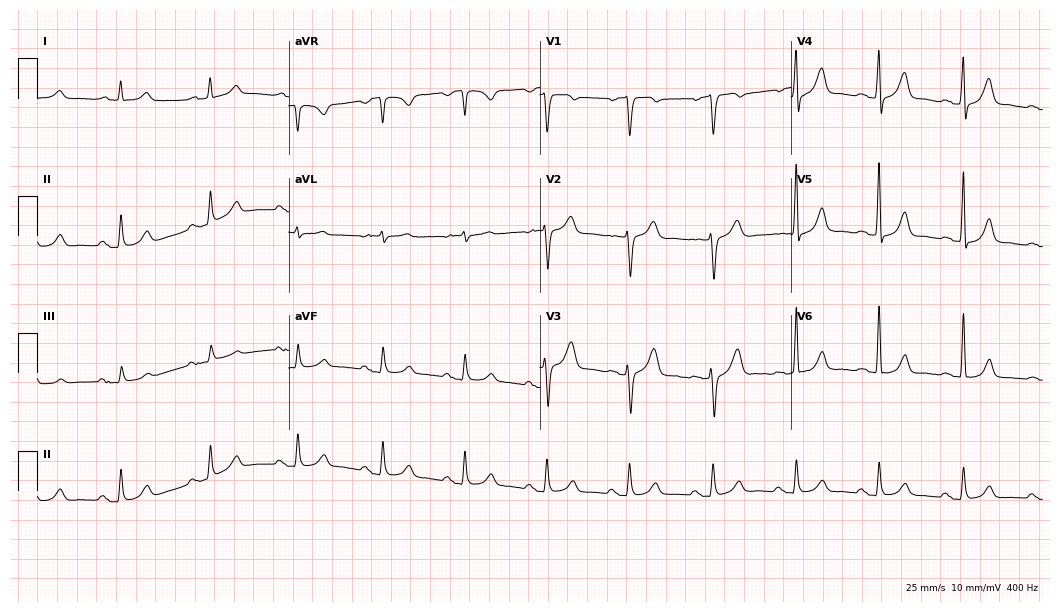
ECG — a male patient, 51 years old. Labelled as a normal ECG.